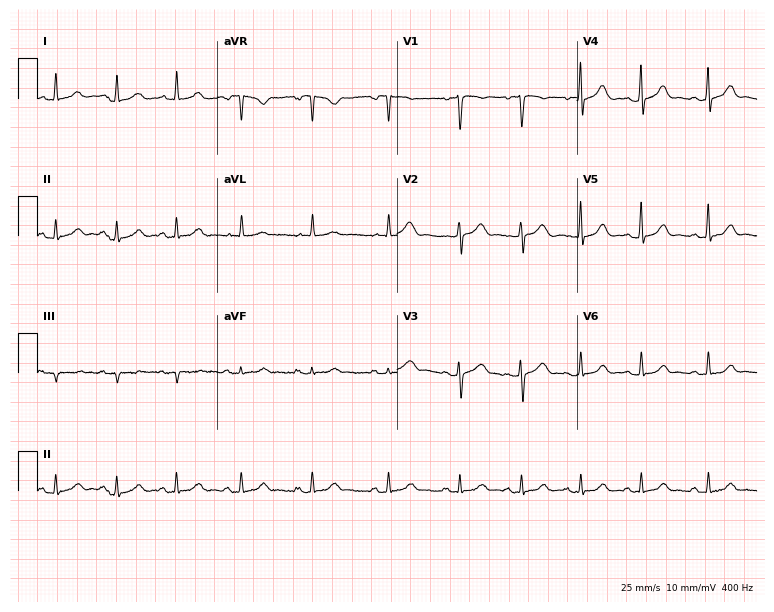
Standard 12-lead ECG recorded from a 31-year-old female patient (7.3-second recording at 400 Hz). Read as a normal ECG.